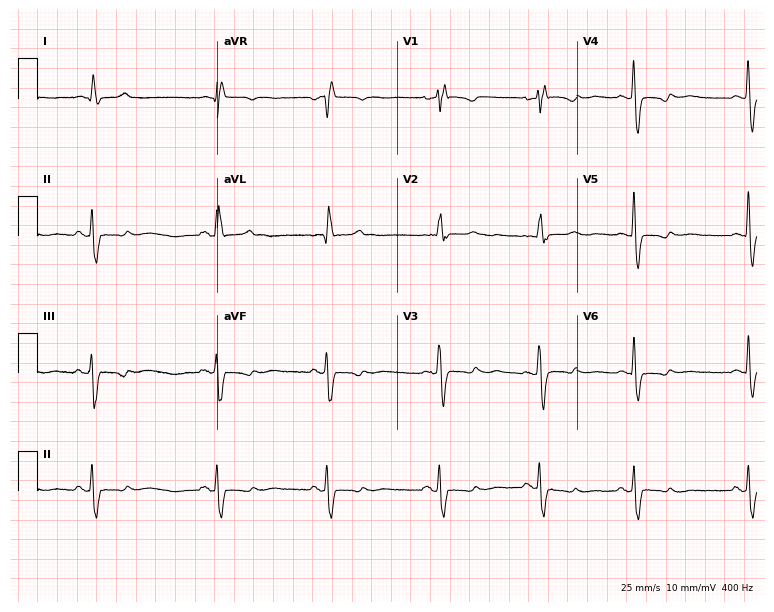
Resting 12-lead electrocardiogram (7.3-second recording at 400 Hz). Patient: a female, 62 years old. The tracing shows right bundle branch block (RBBB), sinus bradycardia (a sinus rate of 50 beats per minute or less).